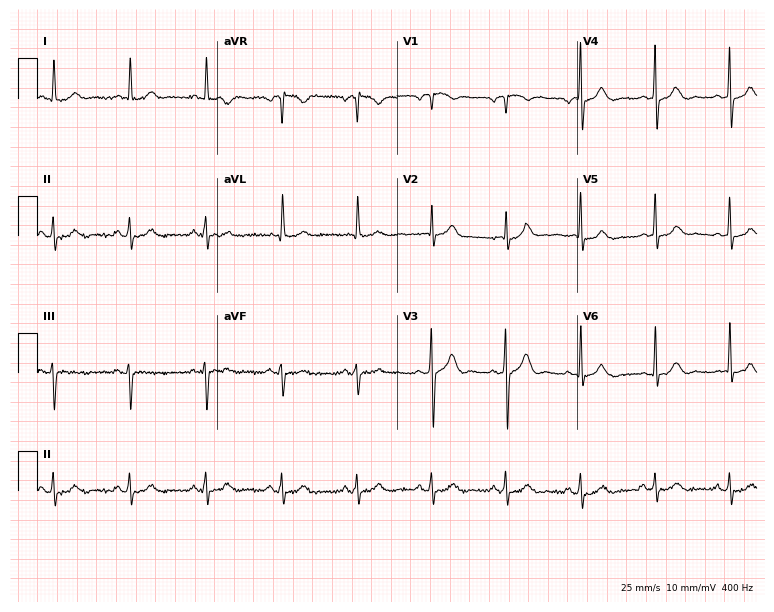
Resting 12-lead electrocardiogram. Patient: a 69-year-old male. Read as a normal ECG.